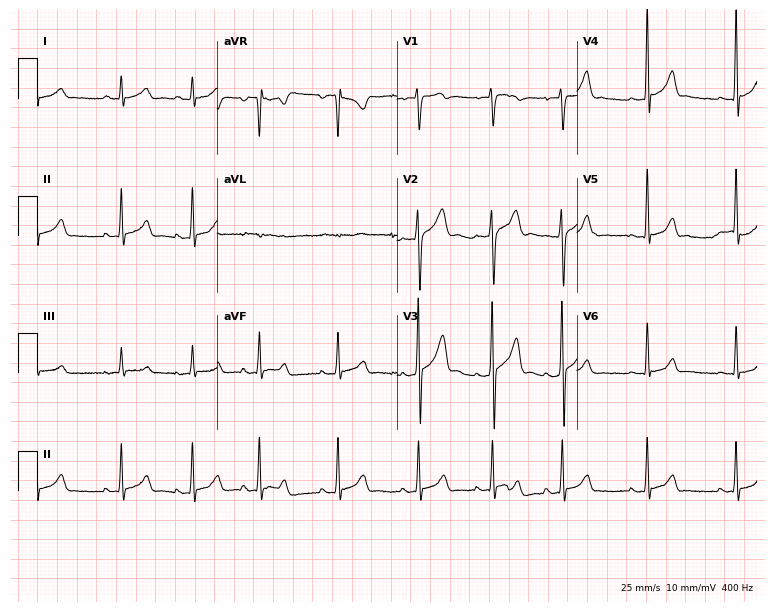
Resting 12-lead electrocardiogram. Patient: a male, 19 years old. None of these six findings is recorded: first-degree AV block, right bundle branch block, left bundle branch block, sinus bradycardia, atrial fibrillation, sinus tachycardia.